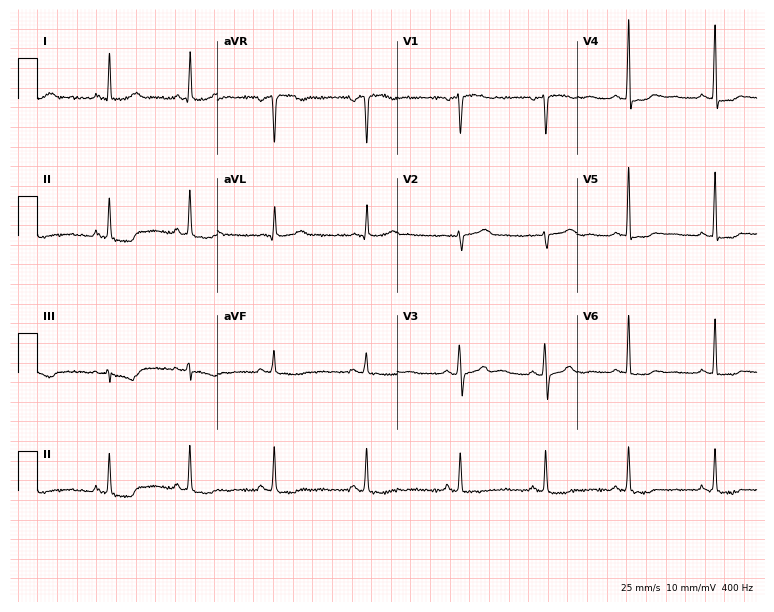
Resting 12-lead electrocardiogram. Patient: a 49-year-old woman. None of these six findings is recorded: first-degree AV block, right bundle branch block, left bundle branch block, sinus bradycardia, atrial fibrillation, sinus tachycardia.